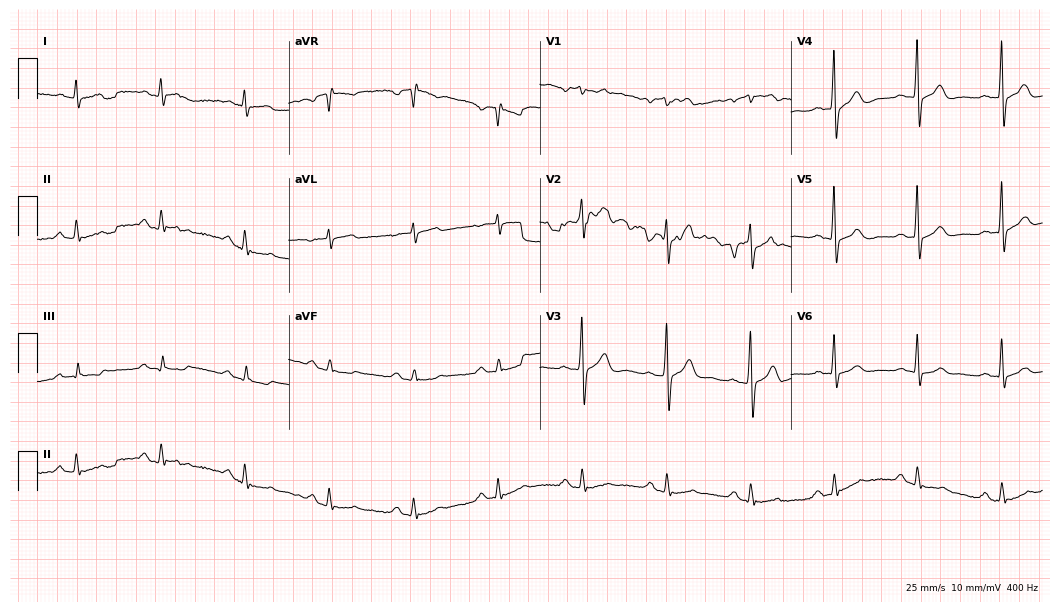
ECG (10.2-second recording at 400 Hz) — a 69-year-old male. Screened for six findings — first-degree AV block, right bundle branch block, left bundle branch block, sinus bradycardia, atrial fibrillation, sinus tachycardia — none is recorded. Findings outside these six are not listed.